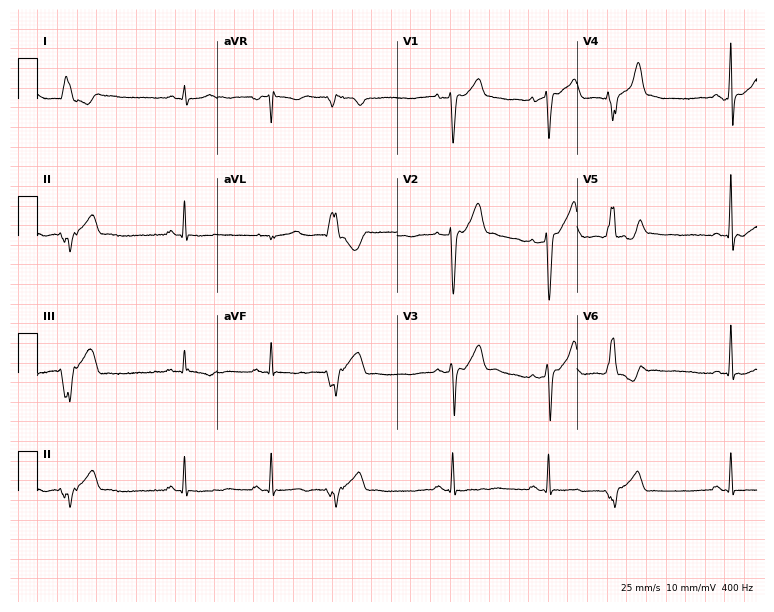
12-lead ECG (7.3-second recording at 400 Hz) from a male patient, 60 years old. Screened for six findings — first-degree AV block, right bundle branch block, left bundle branch block, sinus bradycardia, atrial fibrillation, sinus tachycardia — none is recorded. Only these six findings were labelled.